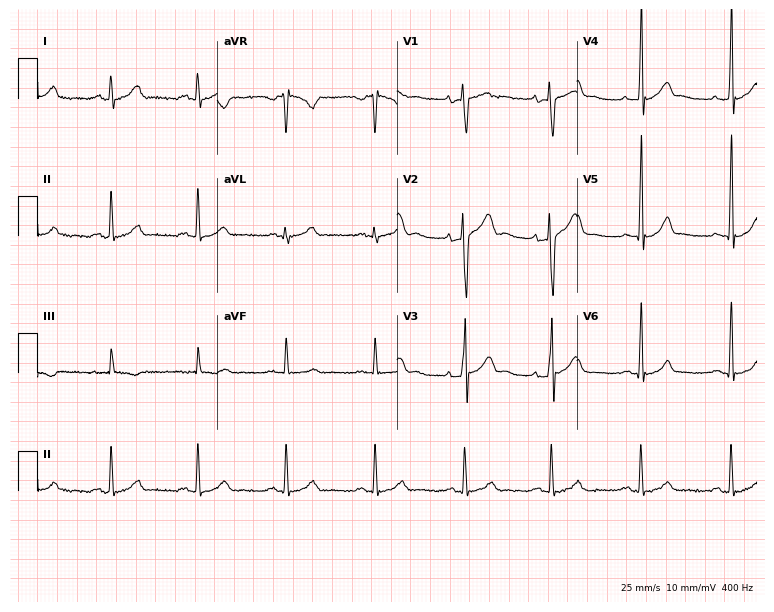
ECG (7.3-second recording at 400 Hz) — a 24-year-old male. Labelled as a normal ECG.